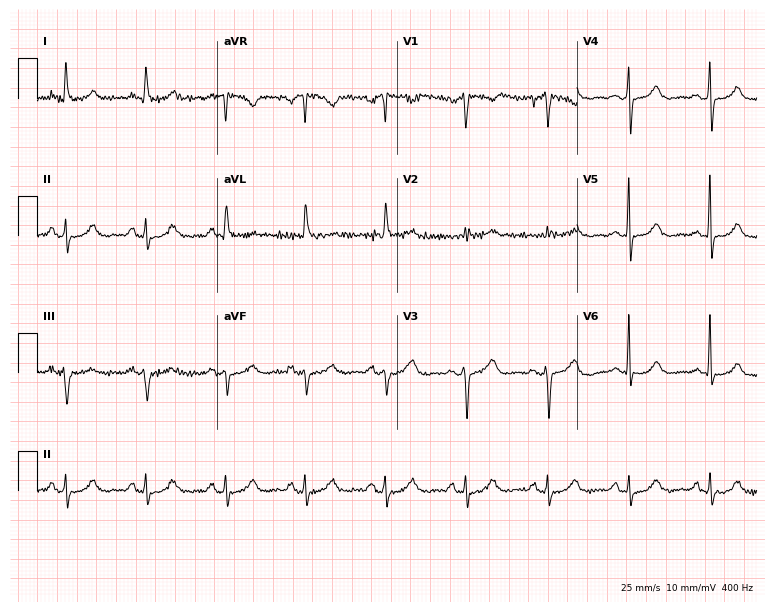
12-lead ECG (7.3-second recording at 400 Hz) from a female patient, 73 years old. Labelled as a normal ECG.